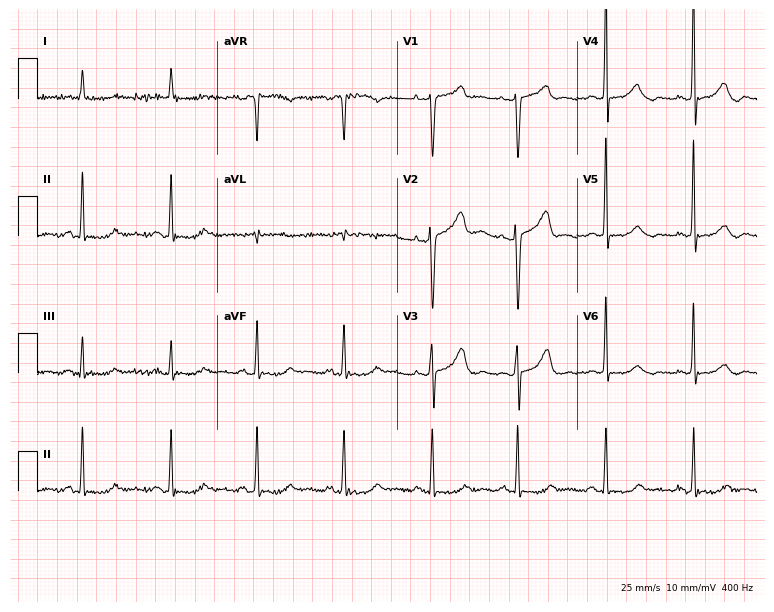
ECG — a female patient, 65 years old. Screened for six findings — first-degree AV block, right bundle branch block (RBBB), left bundle branch block (LBBB), sinus bradycardia, atrial fibrillation (AF), sinus tachycardia — none is recorded. Findings outside these six are not listed.